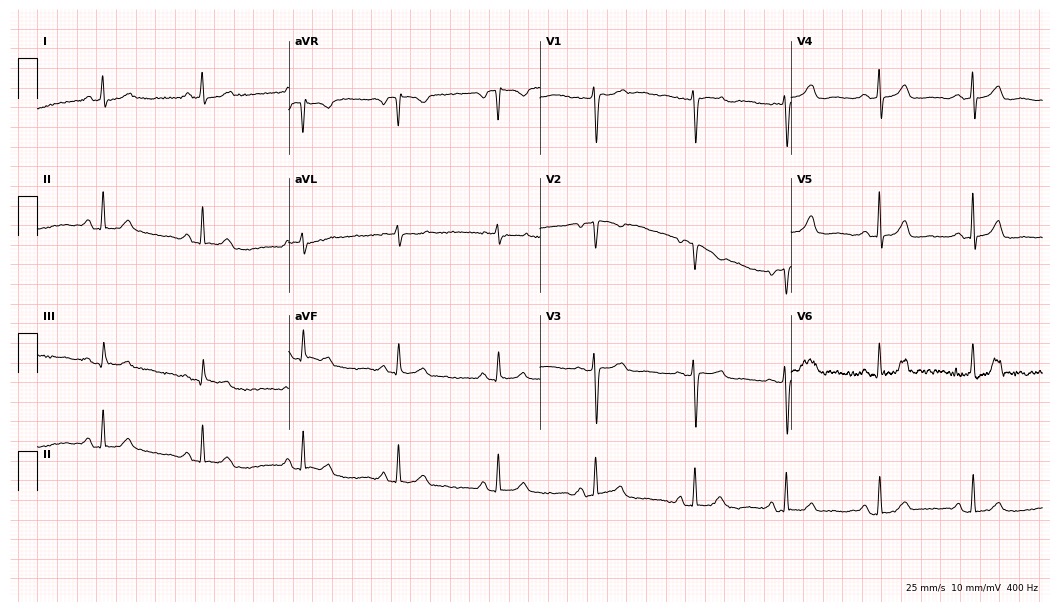
Resting 12-lead electrocardiogram. Patient: a 58-year-old female. Read as a normal ECG.